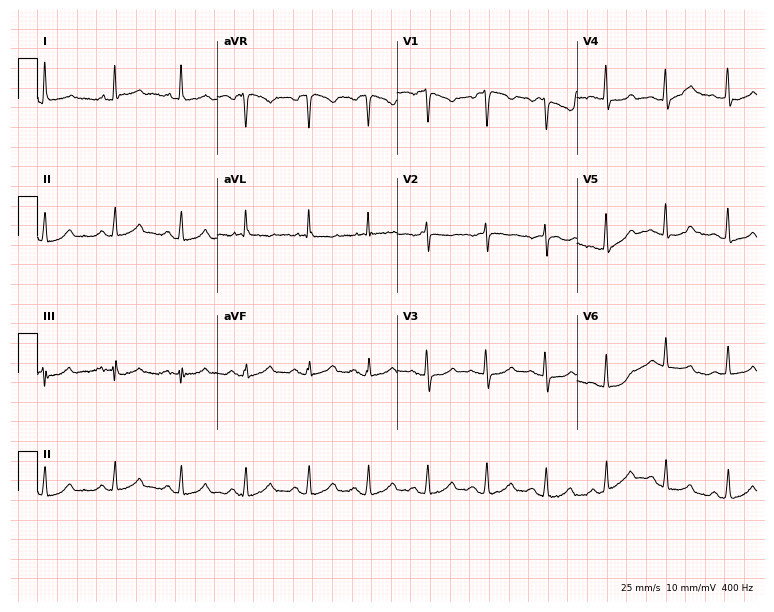
12-lead ECG from a female patient, 53 years old (7.3-second recording at 400 Hz). Recorded interpretation: within normal limits.